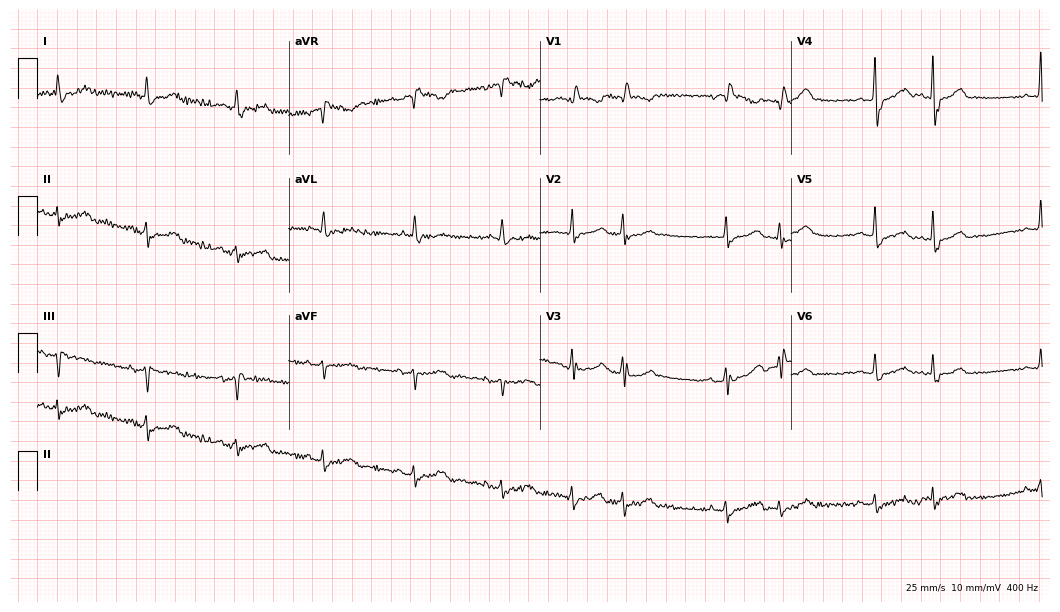
ECG (10.2-second recording at 400 Hz) — a female patient, 86 years old. Screened for six findings — first-degree AV block, right bundle branch block (RBBB), left bundle branch block (LBBB), sinus bradycardia, atrial fibrillation (AF), sinus tachycardia — none is recorded.